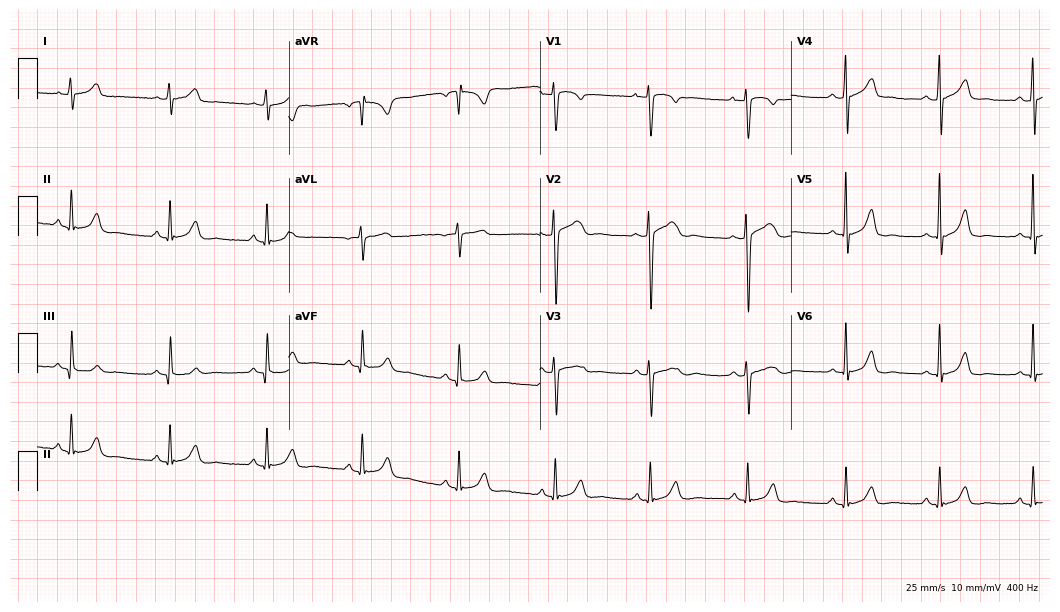
12-lead ECG from a 40-year-old female patient (10.2-second recording at 400 Hz). Recorded interpretation: within normal limits.